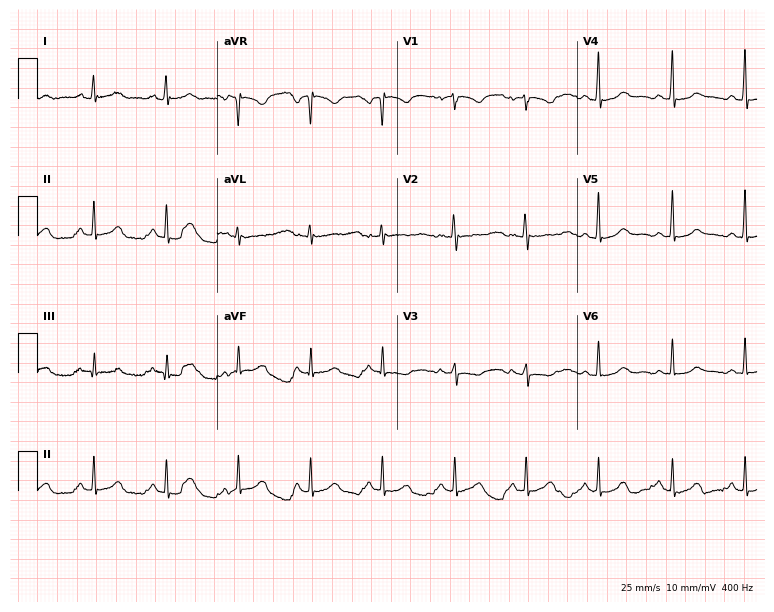
ECG — a woman, 57 years old. Labelled as a normal ECG.